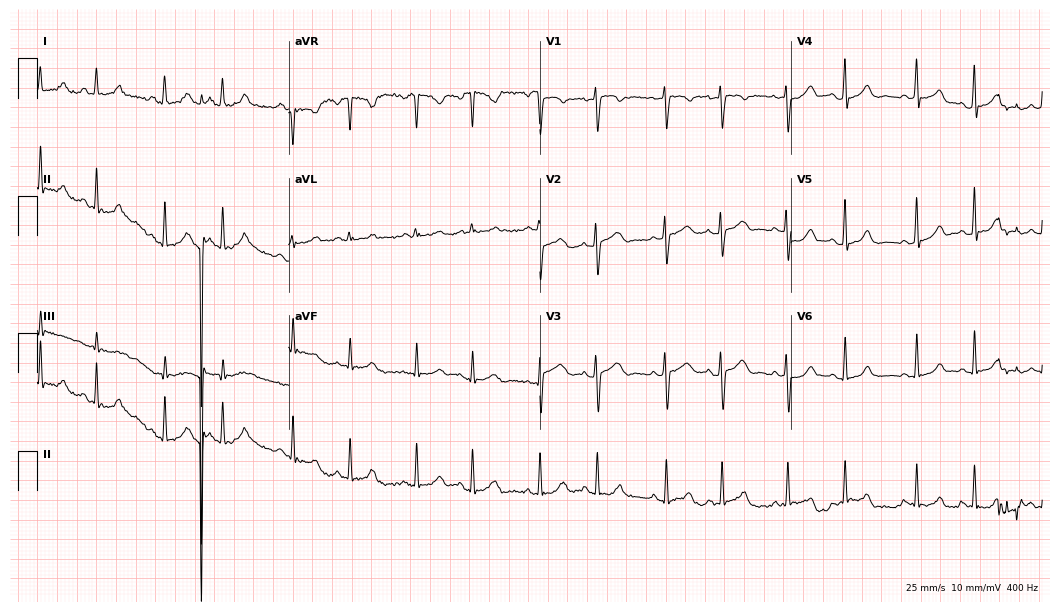
Electrocardiogram, a female patient, 23 years old. Of the six screened findings (first-degree AV block, right bundle branch block, left bundle branch block, sinus bradycardia, atrial fibrillation, sinus tachycardia), none is recorded.